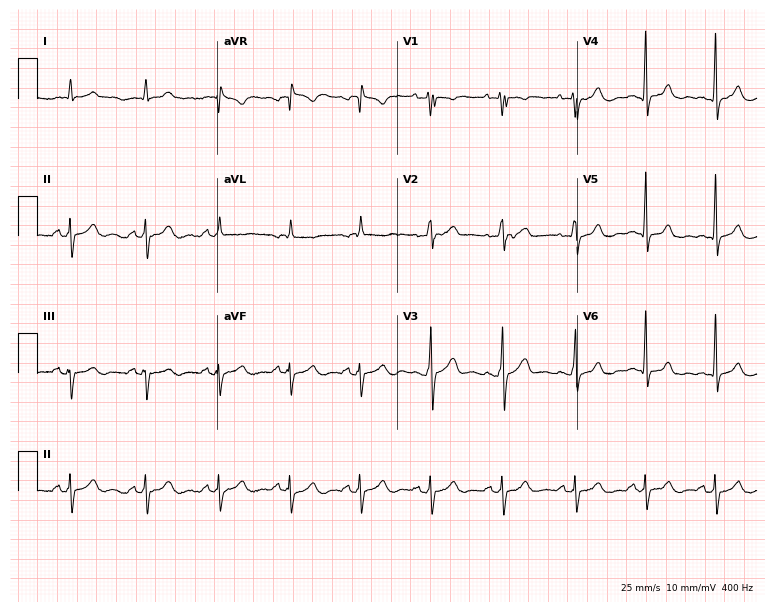
ECG — a male patient, 67 years old. Screened for six findings — first-degree AV block, right bundle branch block (RBBB), left bundle branch block (LBBB), sinus bradycardia, atrial fibrillation (AF), sinus tachycardia — none is recorded. Only these six findings were labelled.